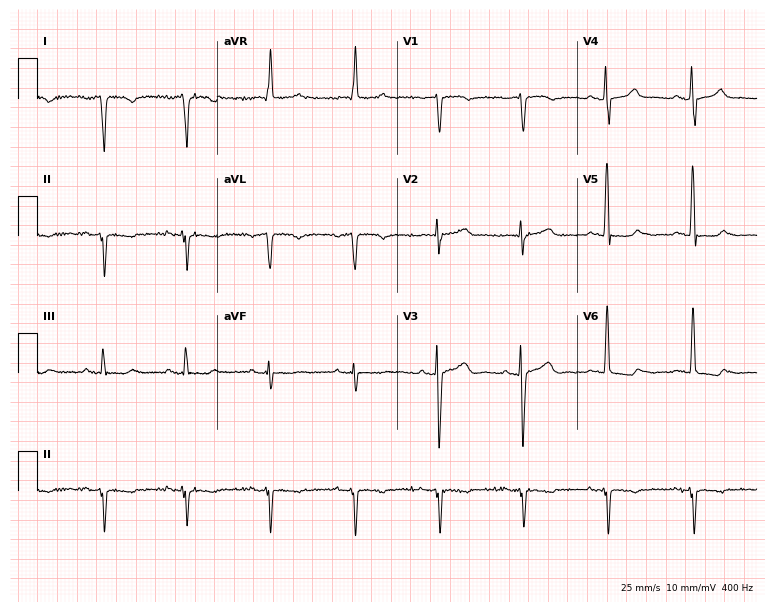
12-lead ECG (7.3-second recording at 400 Hz) from a 74-year-old woman. Screened for six findings — first-degree AV block, right bundle branch block, left bundle branch block, sinus bradycardia, atrial fibrillation, sinus tachycardia — none is recorded. Only these six findings were labelled.